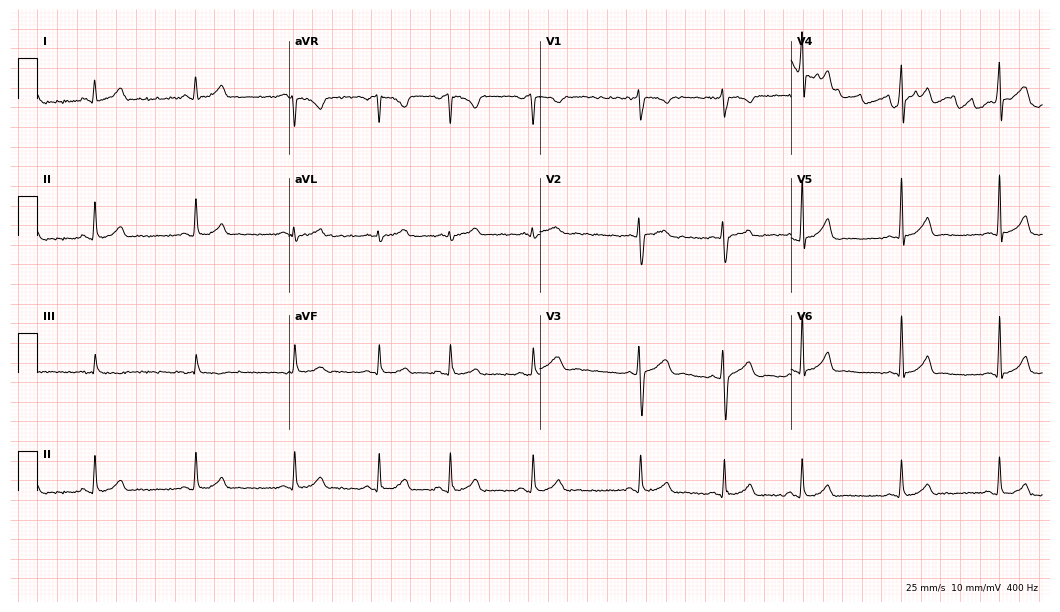
Electrocardiogram, an 18-year-old female. Of the six screened findings (first-degree AV block, right bundle branch block (RBBB), left bundle branch block (LBBB), sinus bradycardia, atrial fibrillation (AF), sinus tachycardia), none is recorded. Findings outside these six are not listed.